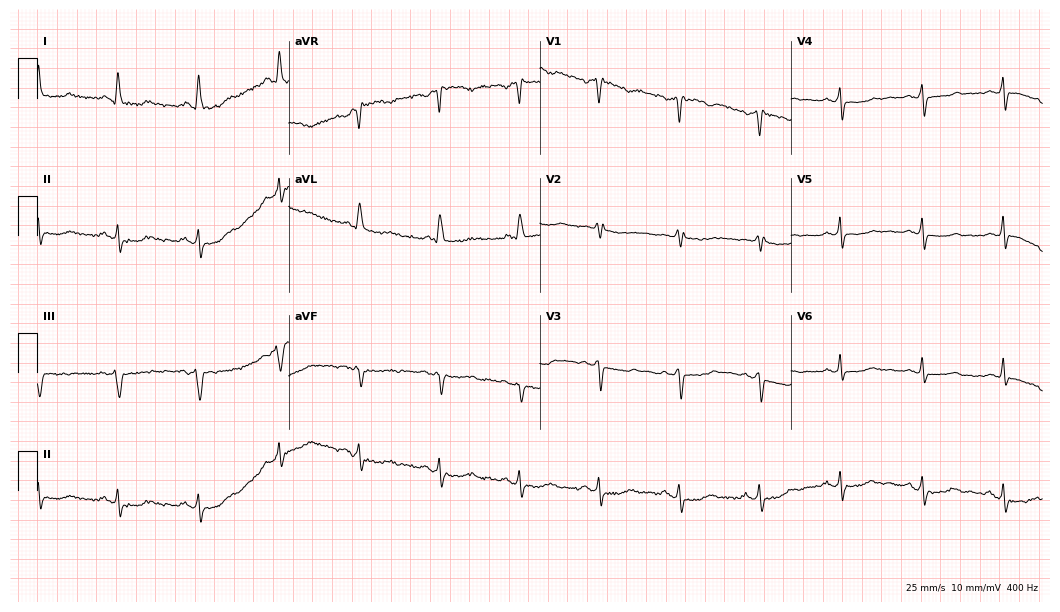
12-lead ECG from a female, 69 years old (10.2-second recording at 400 Hz). No first-degree AV block, right bundle branch block, left bundle branch block, sinus bradycardia, atrial fibrillation or sinus tachycardia recorded for this tracing. Findings outside these six are not listed.